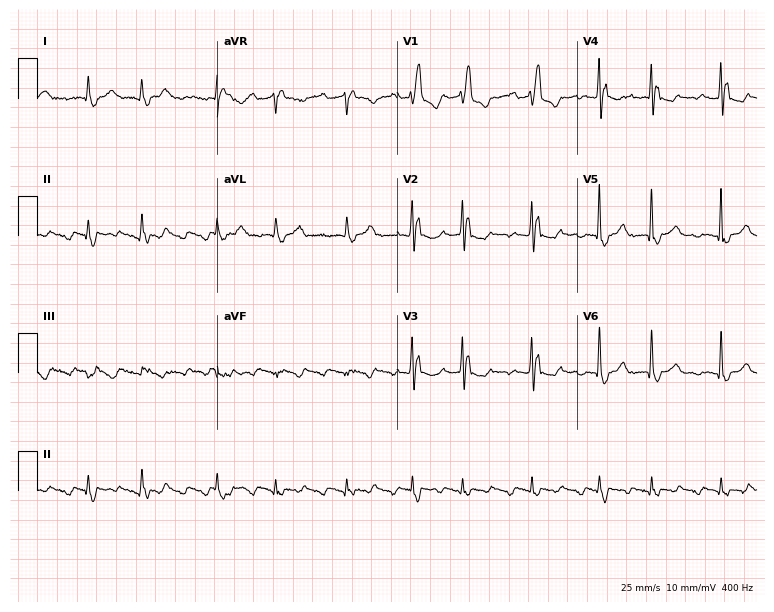
Resting 12-lead electrocardiogram (7.3-second recording at 400 Hz). Patient: a male, 76 years old. The tracing shows right bundle branch block.